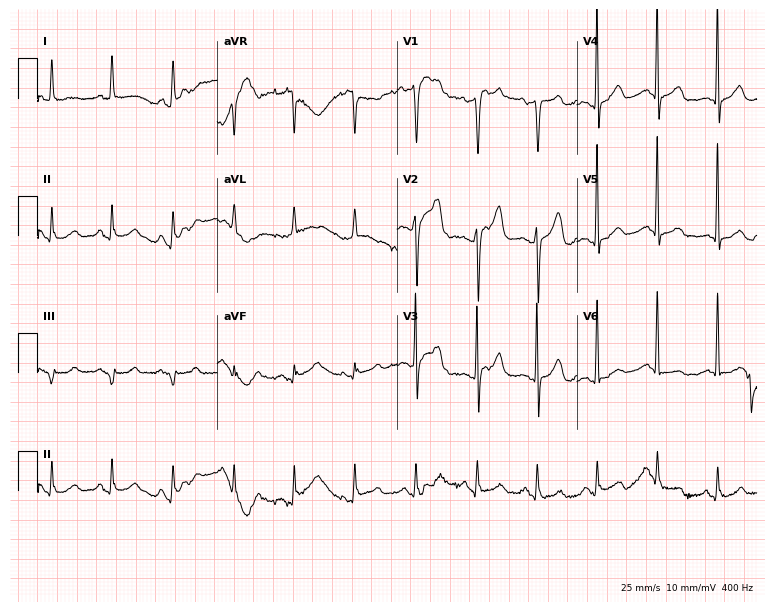
Electrocardiogram, a woman, 81 years old. Of the six screened findings (first-degree AV block, right bundle branch block, left bundle branch block, sinus bradycardia, atrial fibrillation, sinus tachycardia), none is recorded. Findings outside these six are not listed.